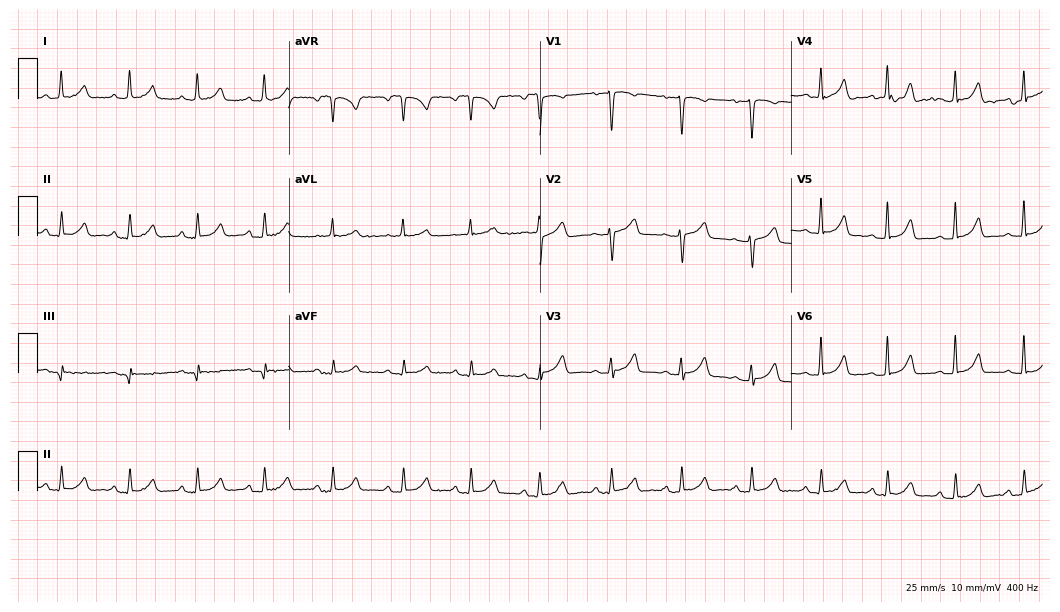
Standard 12-lead ECG recorded from a 54-year-old female. Read as a normal ECG.